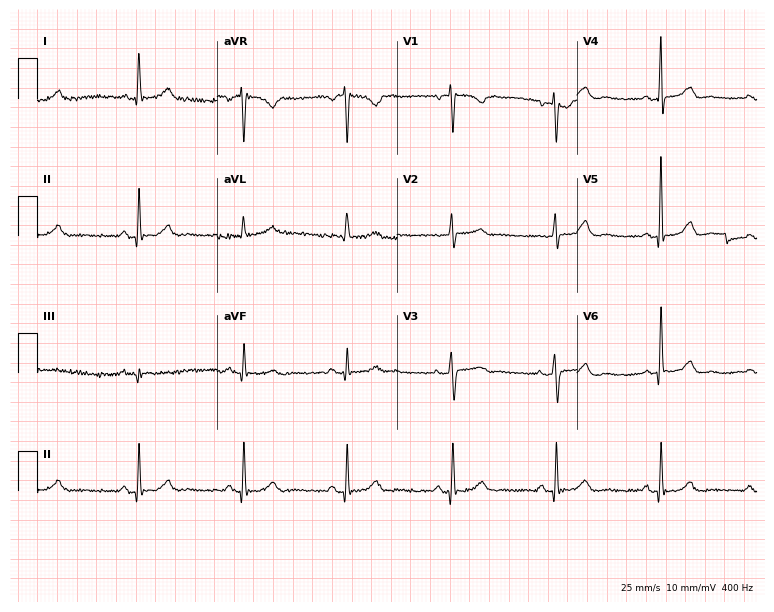
12-lead ECG from a 65-year-old woman. Screened for six findings — first-degree AV block, right bundle branch block, left bundle branch block, sinus bradycardia, atrial fibrillation, sinus tachycardia — none is recorded. Other findings, if any, are not listed.